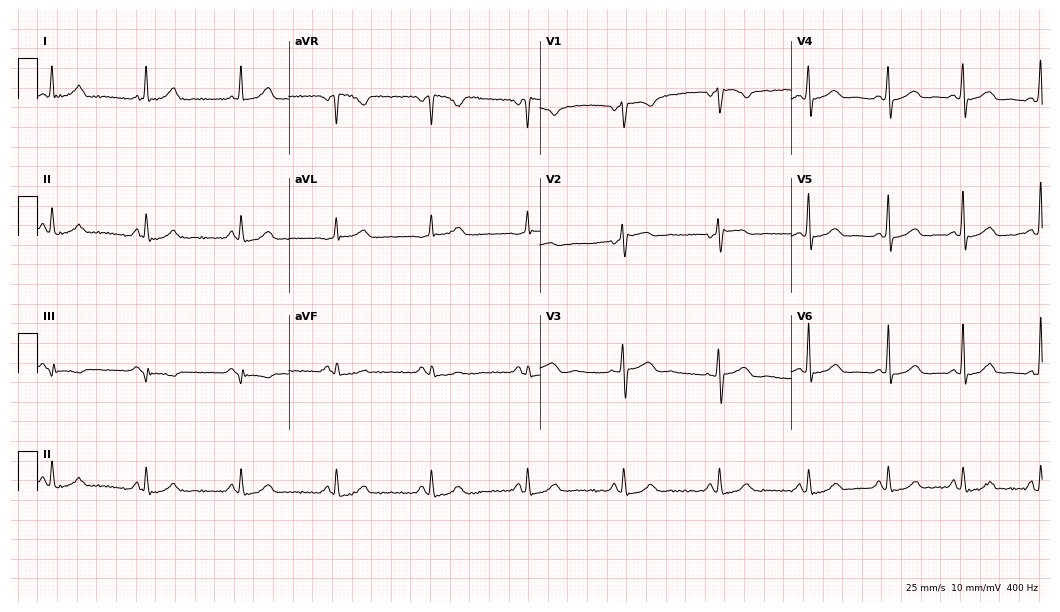
Standard 12-lead ECG recorded from a woman, 49 years old. Read as a normal ECG.